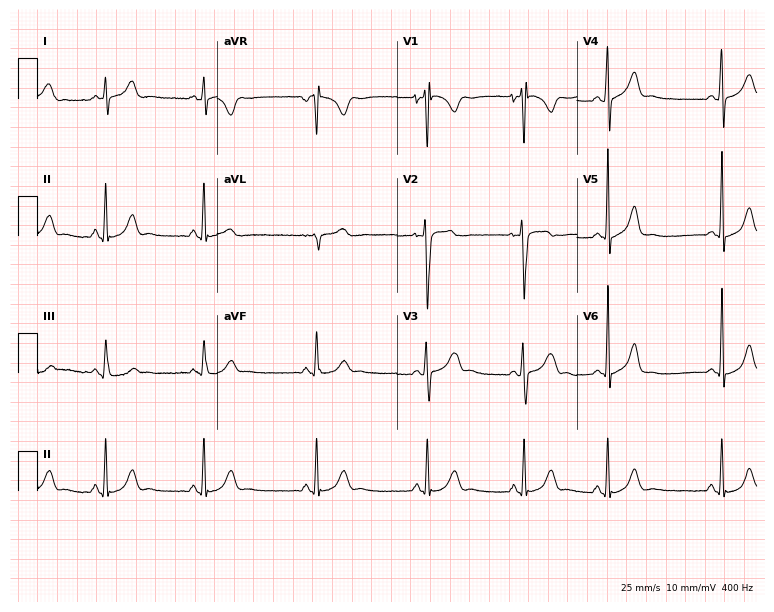
Electrocardiogram, a male, 18 years old. Overall reading on record: normal ECG.